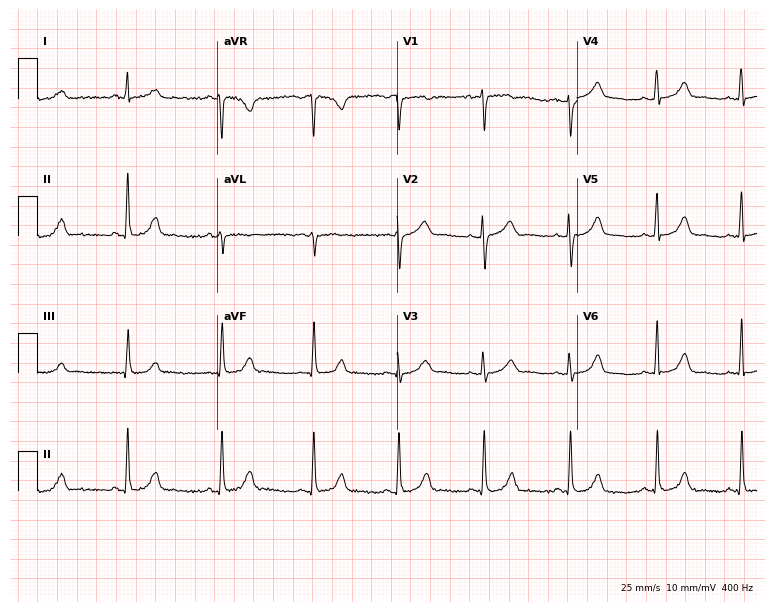
ECG — a female, 42 years old. Labelled as a normal ECG.